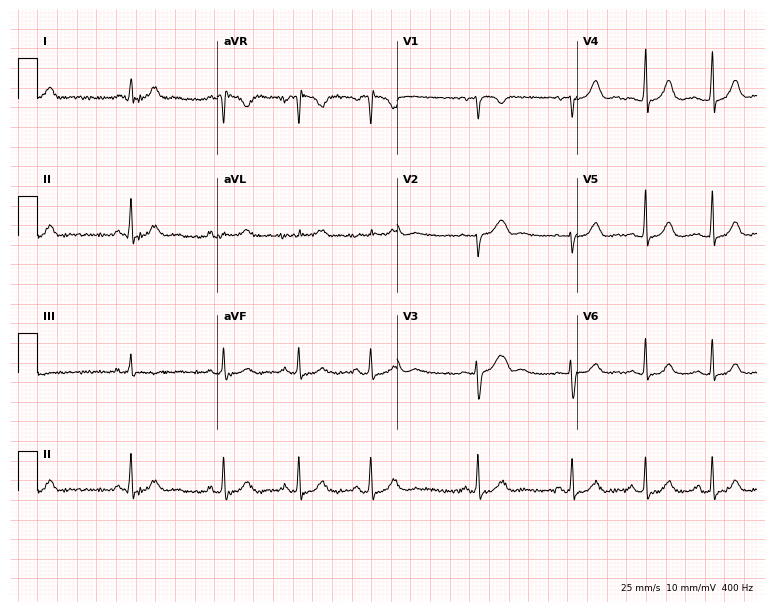
12-lead ECG from a woman, 25 years old. Labelled as a normal ECG.